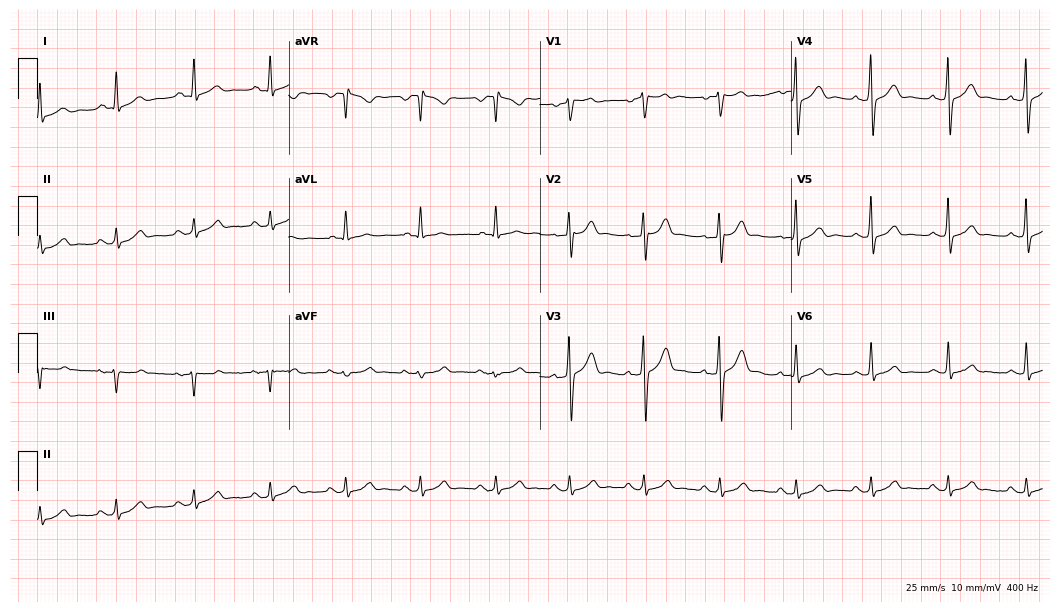
Electrocardiogram, a man, 50 years old. Overall reading on record: normal ECG.